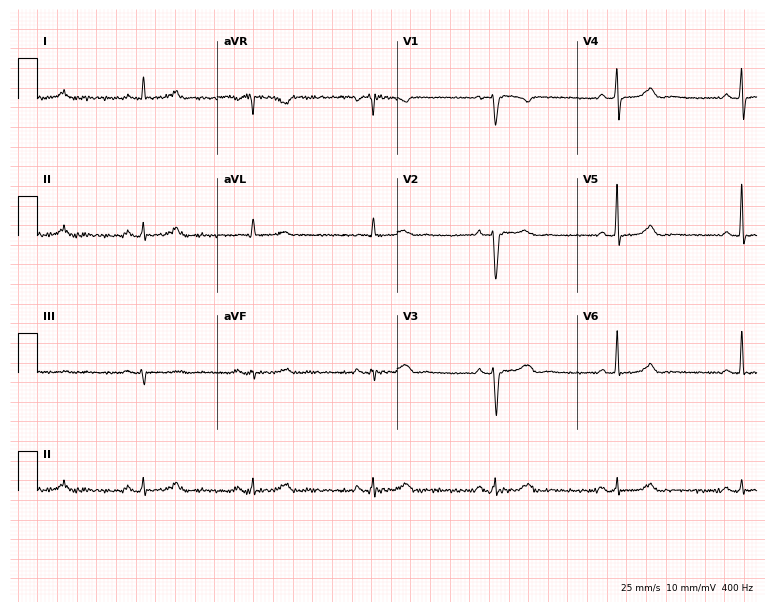
12-lead ECG (7.3-second recording at 400 Hz) from a female, 53 years old. Findings include sinus bradycardia (a sinus rate of 50 beats per minute or less).